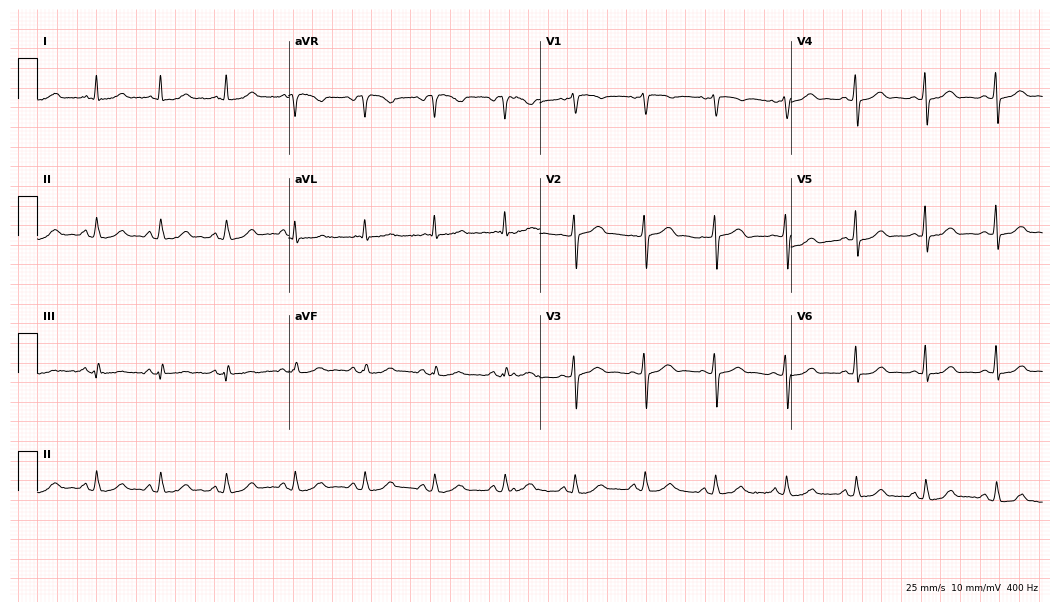
Standard 12-lead ECG recorded from a woman, 62 years old (10.2-second recording at 400 Hz). Read as a normal ECG.